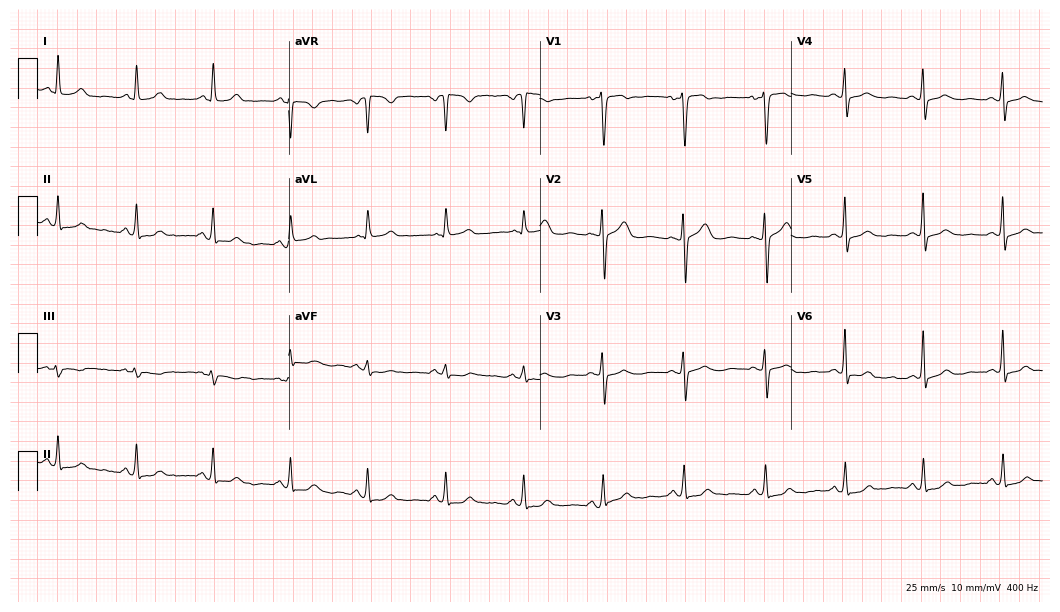
Resting 12-lead electrocardiogram. Patient: a 53-year-old female. Read as a normal ECG.